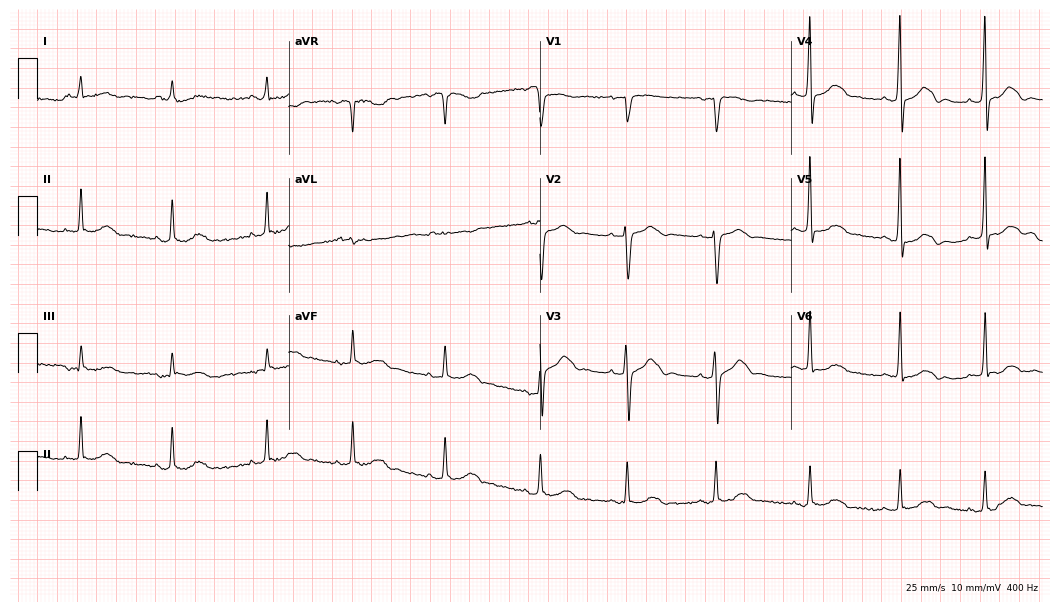
ECG — a woman, 80 years old. Labelled as a normal ECG.